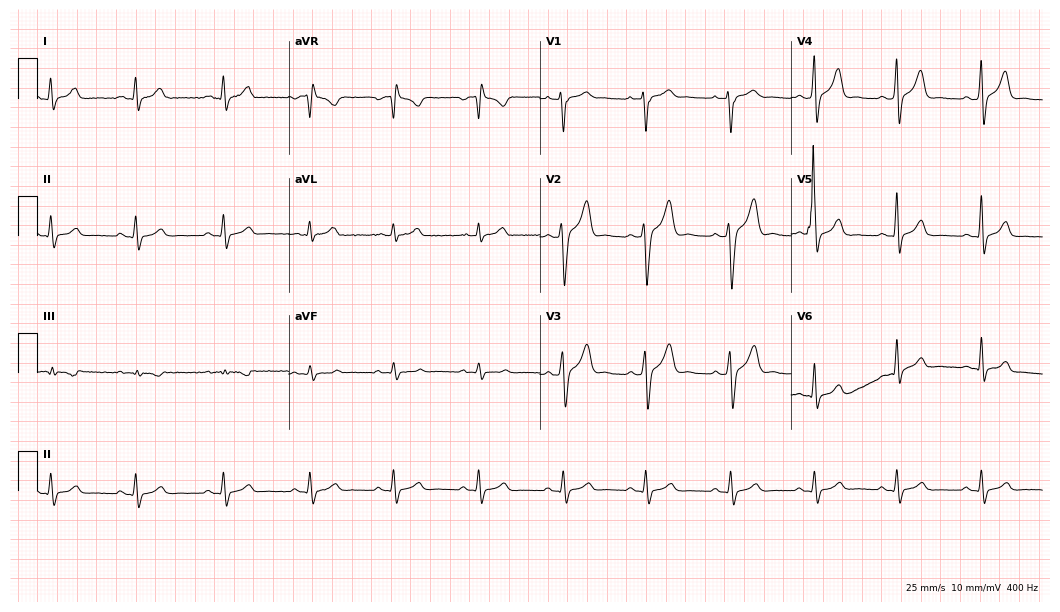
ECG — a 32-year-old male. Screened for six findings — first-degree AV block, right bundle branch block, left bundle branch block, sinus bradycardia, atrial fibrillation, sinus tachycardia — none is recorded. Other findings, if any, are not listed.